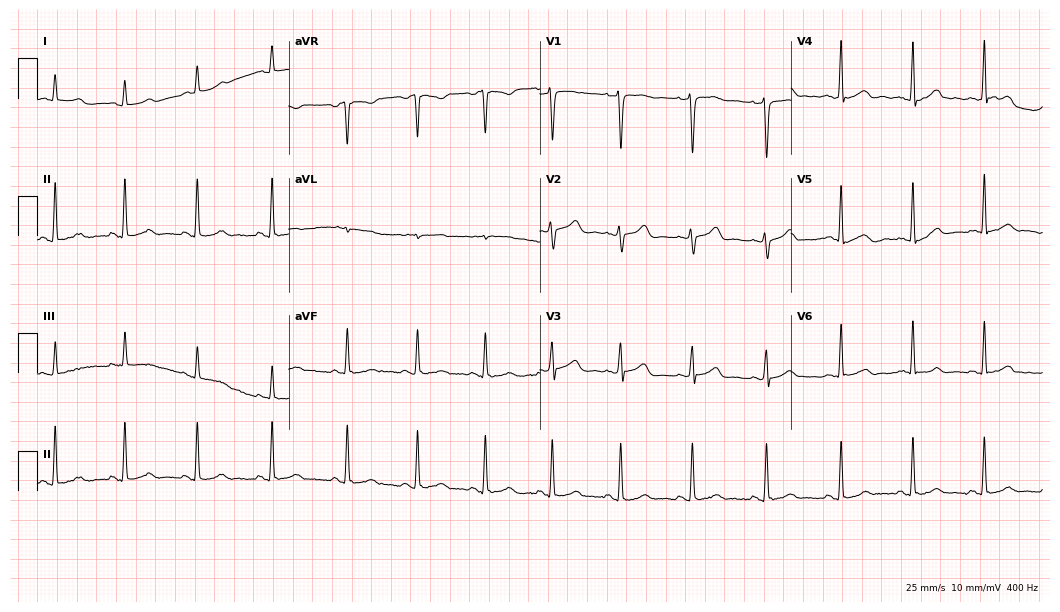
Standard 12-lead ECG recorded from a woman, 28 years old (10.2-second recording at 400 Hz). Read as a normal ECG.